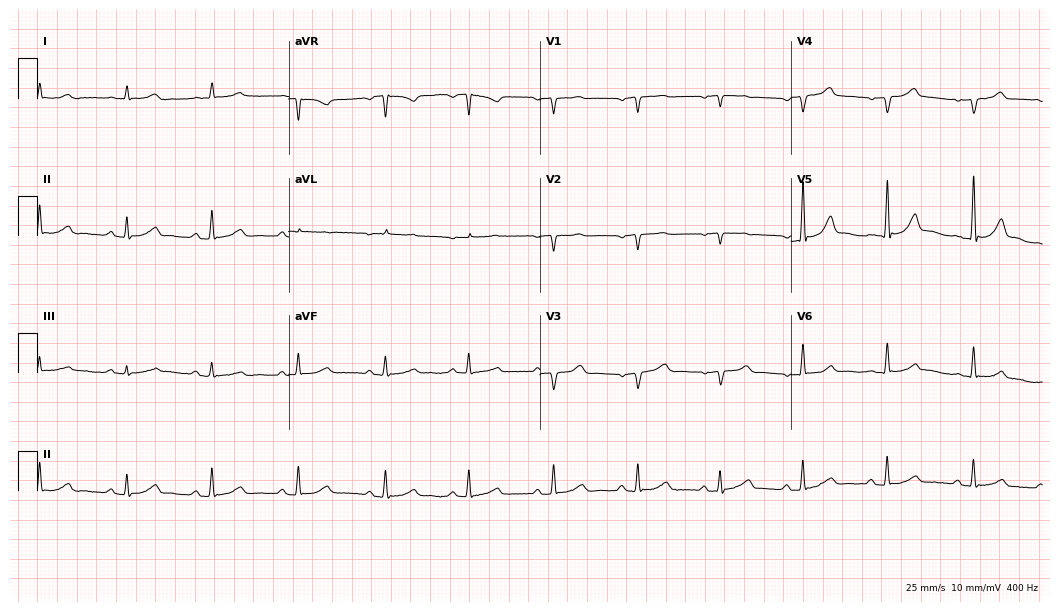
Electrocardiogram (10.2-second recording at 400 Hz), a man, 64 years old. Of the six screened findings (first-degree AV block, right bundle branch block (RBBB), left bundle branch block (LBBB), sinus bradycardia, atrial fibrillation (AF), sinus tachycardia), none is recorded. Other findings, if any, are not listed.